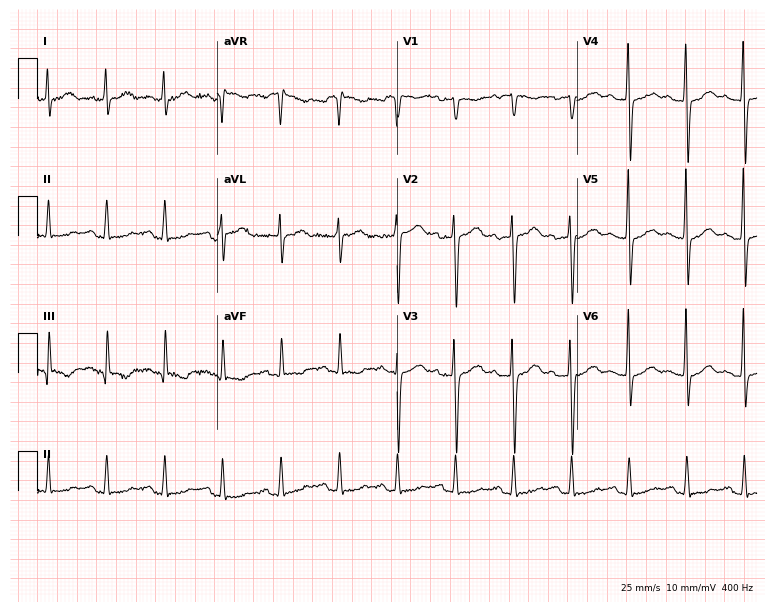
ECG (7.3-second recording at 400 Hz) — a female patient, 46 years old. Findings include sinus tachycardia (a sinus rate of 100 beats per minute or more).